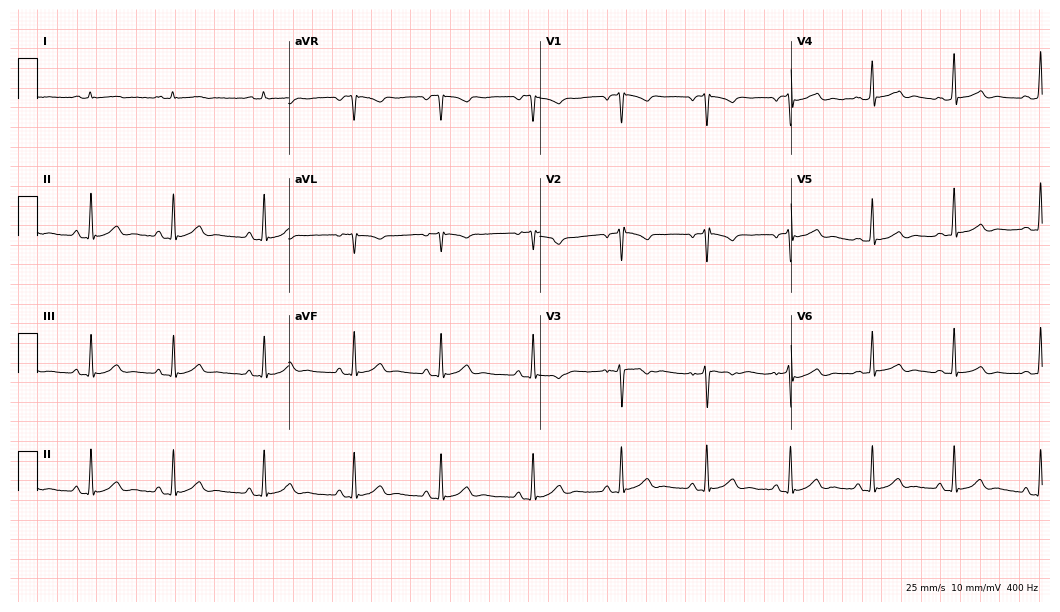
12-lead ECG from a 24-year-old male patient (10.2-second recording at 400 Hz). No first-degree AV block, right bundle branch block, left bundle branch block, sinus bradycardia, atrial fibrillation or sinus tachycardia recorded for this tracing. Findings outside these six are not listed.